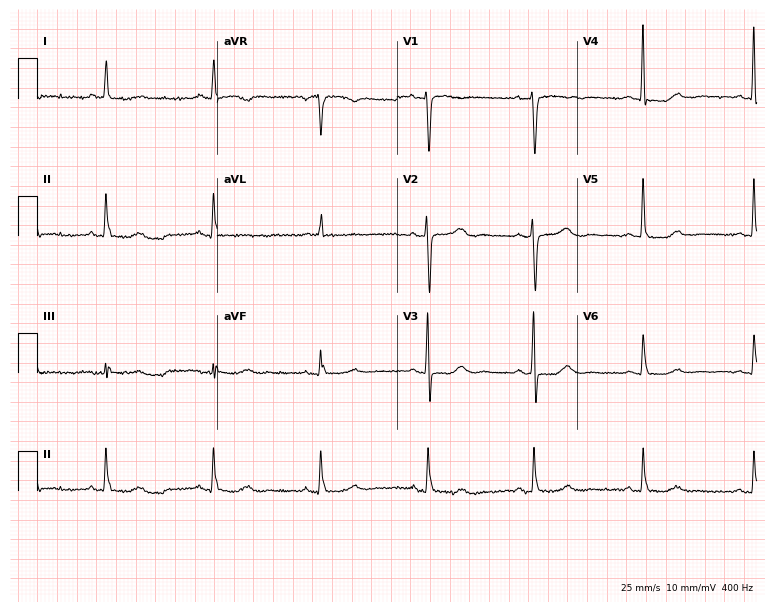
Resting 12-lead electrocardiogram. Patient: a 73-year-old female. Read as a normal ECG.